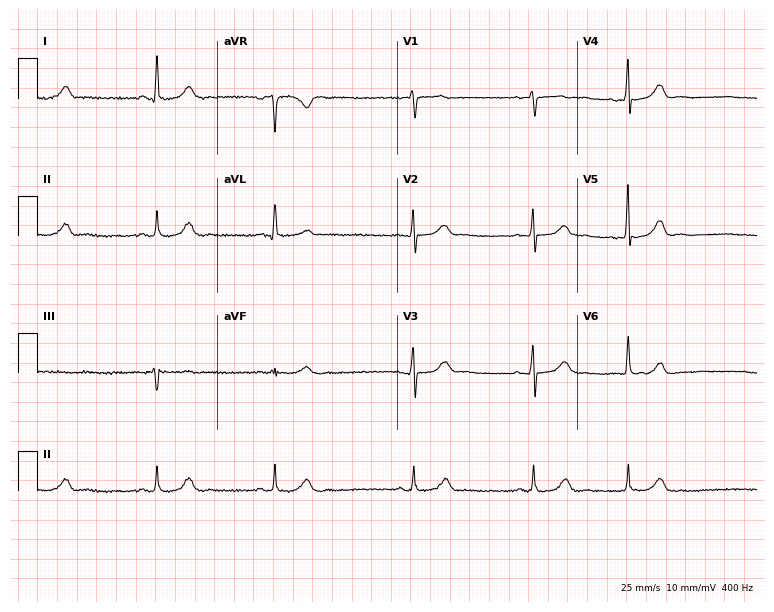
ECG — a female, 80 years old. Labelled as a normal ECG.